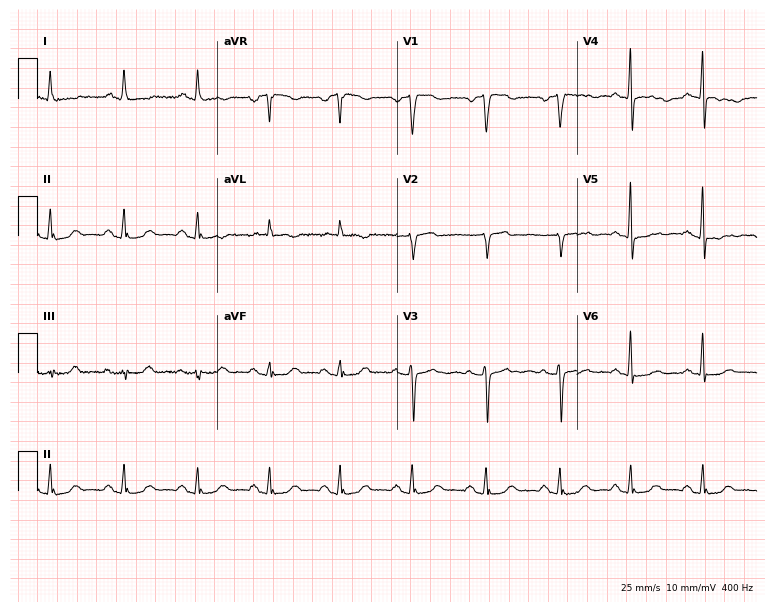
Resting 12-lead electrocardiogram. Patient: a 53-year-old female. Read as a normal ECG.